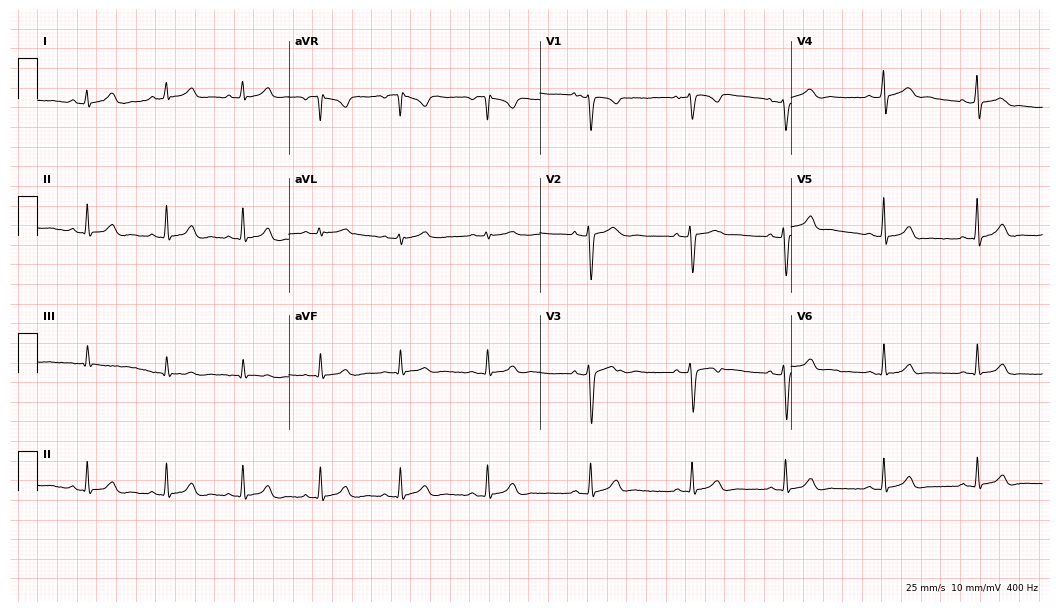
Resting 12-lead electrocardiogram. Patient: a female, 22 years old. Read as a normal ECG.